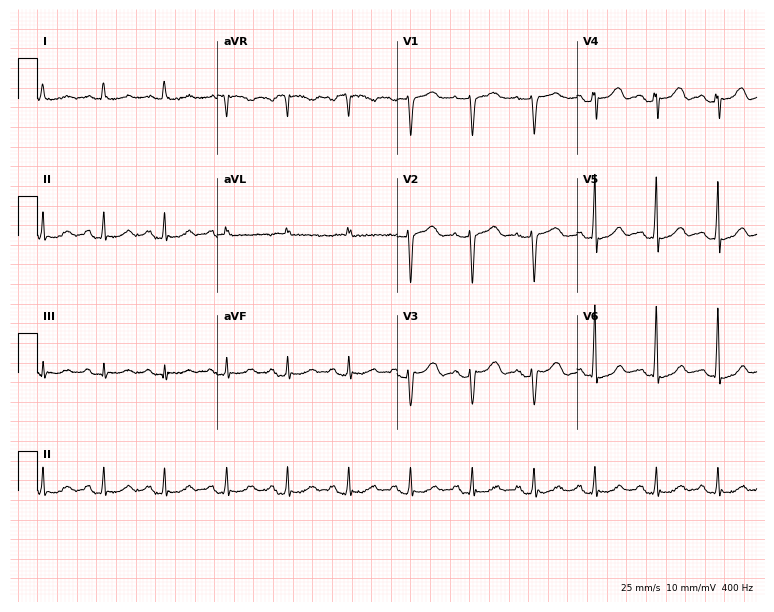
12-lead ECG from a man, 58 years old. Screened for six findings — first-degree AV block, right bundle branch block (RBBB), left bundle branch block (LBBB), sinus bradycardia, atrial fibrillation (AF), sinus tachycardia — none is recorded.